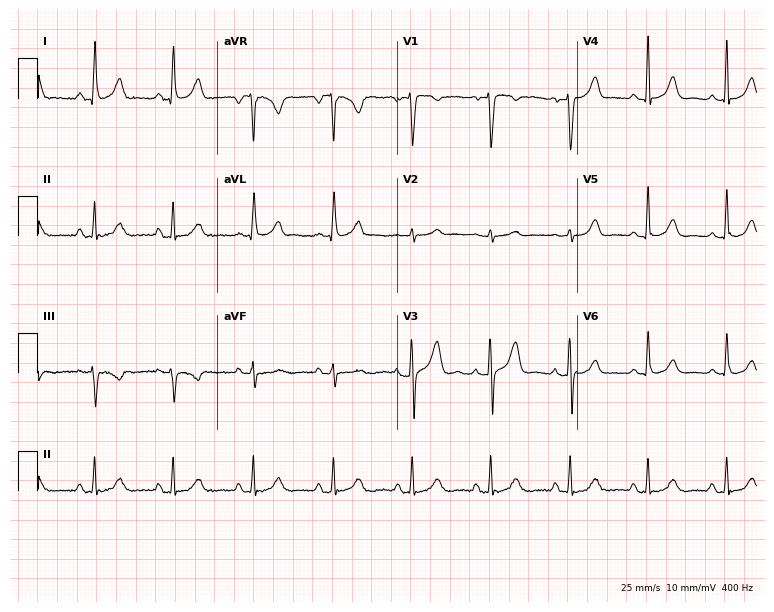
Standard 12-lead ECG recorded from a 37-year-old female. Read as a normal ECG.